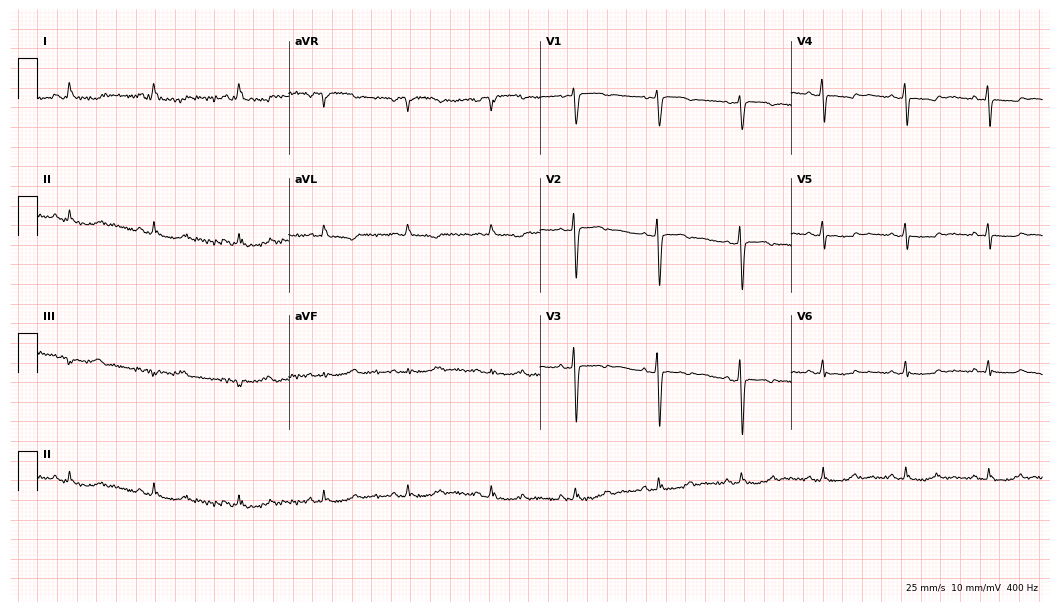
12-lead ECG (10.2-second recording at 400 Hz) from a woman, 48 years old. Screened for six findings — first-degree AV block, right bundle branch block, left bundle branch block, sinus bradycardia, atrial fibrillation, sinus tachycardia — none is recorded. Other findings, if any, are not listed.